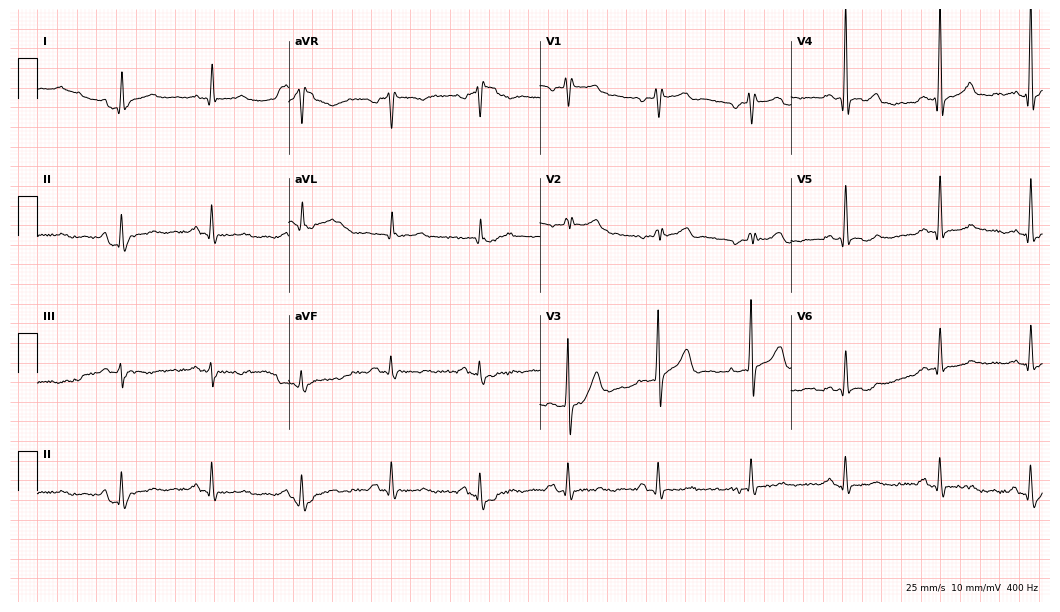
Standard 12-lead ECG recorded from a 46-year-old male patient. None of these six findings is recorded: first-degree AV block, right bundle branch block (RBBB), left bundle branch block (LBBB), sinus bradycardia, atrial fibrillation (AF), sinus tachycardia.